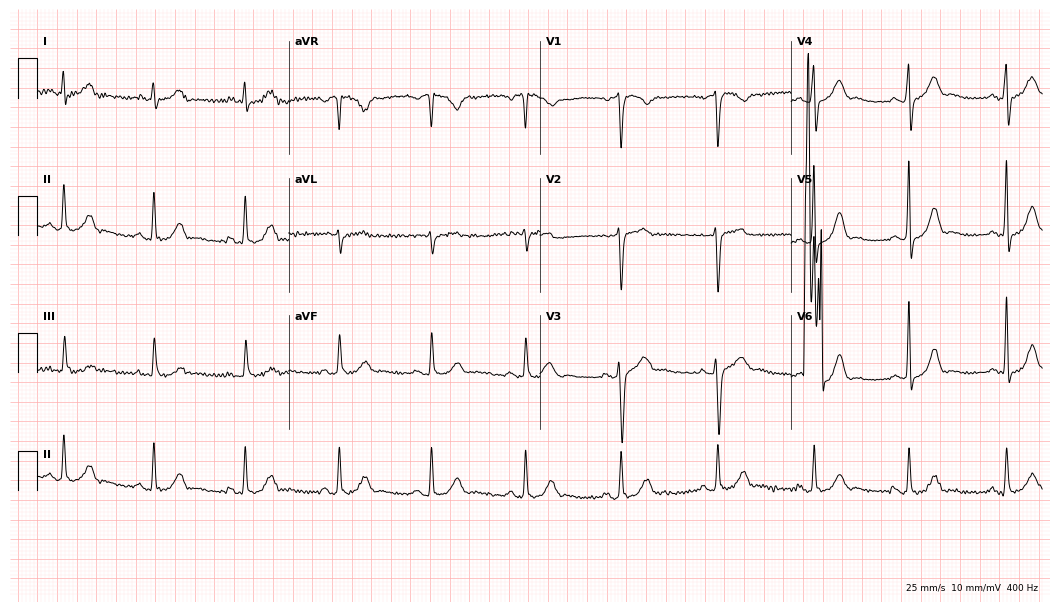
Electrocardiogram (10.2-second recording at 400 Hz), a male, 41 years old. Of the six screened findings (first-degree AV block, right bundle branch block (RBBB), left bundle branch block (LBBB), sinus bradycardia, atrial fibrillation (AF), sinus tachycardia), none is recorded. Other findings, if any, are not listed.